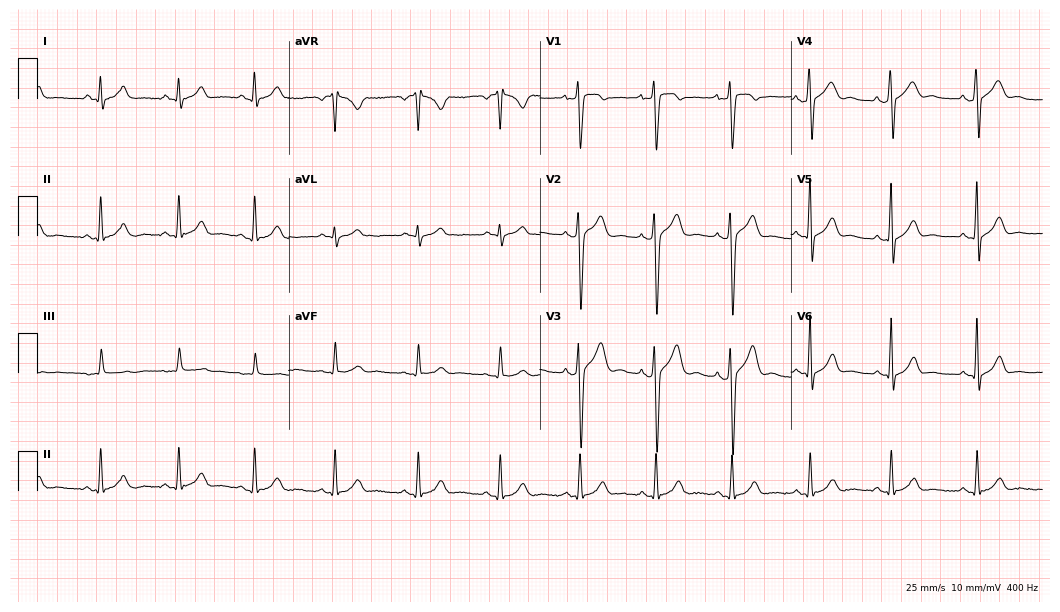
Electrocardiogram (10.2-second recording at 400 Hz), a male patient, 24 years old. Of the six screened findings (first-degree AV block, right bundle branch block (RBBB), left bundle branch block (LBBB), sinus bradycardia, atrial fibrillation (AF), sinus tachycardia), none is recorded.